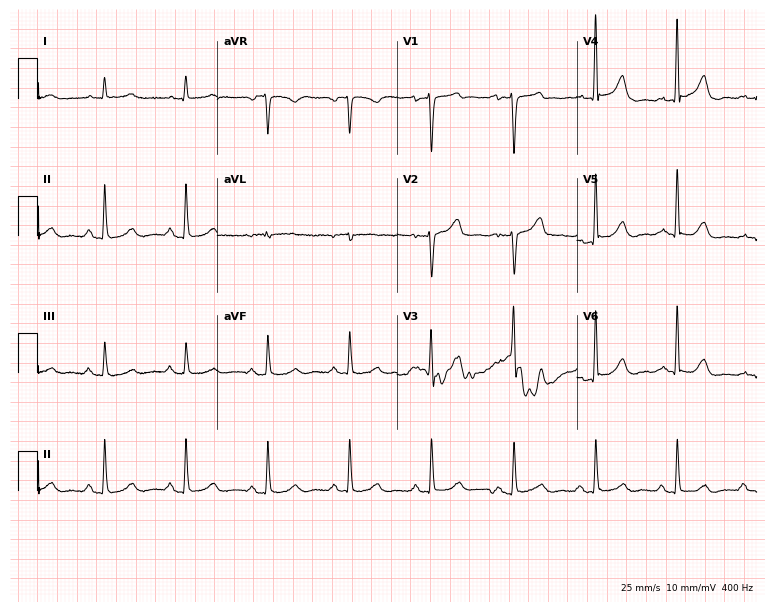
12-lead ECG from a 66-year-old man (7.3-second recording at 400 Hz). No first-degree AV block, right bundle branch block, left bundle branch block, sinus bradycardia, atrial fibrillation or sinus tachycardia recorded for this tracing. Other findings, if any, are not listed.